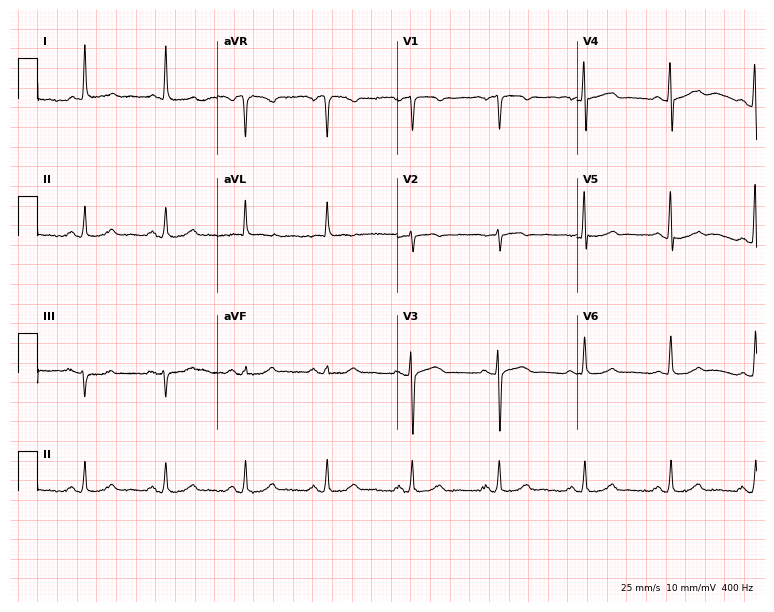
Resting 12-lead electrocardiogram (7.3-second recording at 400 Hz). Patient: a 61-year-old woman. None of these six findings is recorded: first-degree AV block, right bundle branch block, left bundle branch block, sinus bradycardia, atrial fibrillation, sinus tachycardia. Other findings, if any, are not listed.